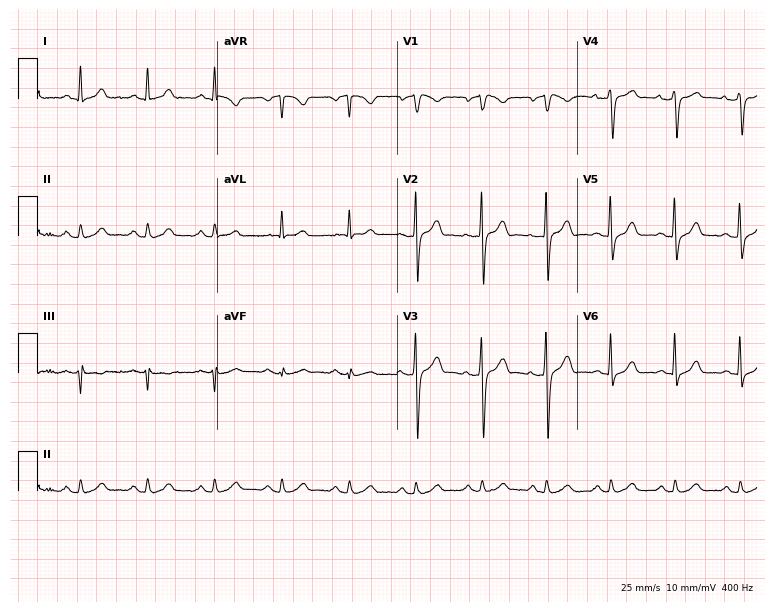
12-lead ECG from a 56-year-old male patient. Labelled as a normal ECG.